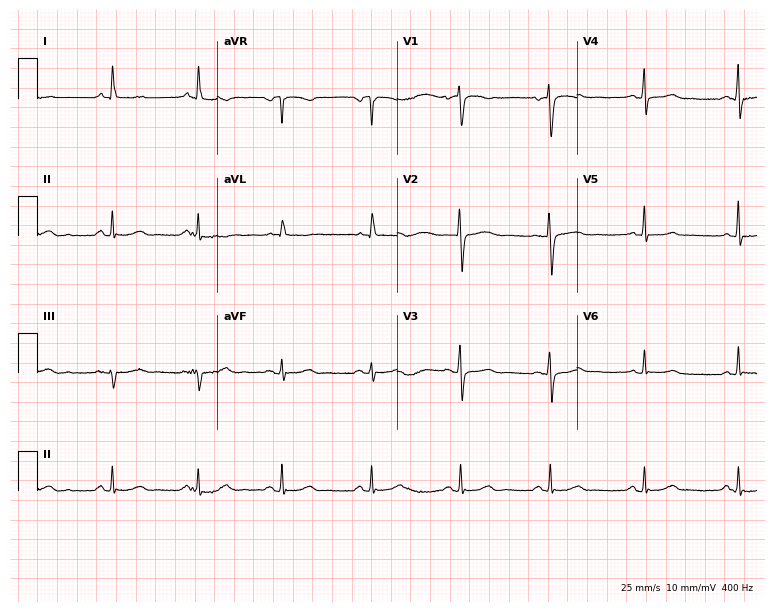
12-lead ECG from a 62-year-old woman (7.3-second recording at 400 Hz). No first-degree AV block, right bundle branch block, left bundle branch block, sinus bradycardia, atrial fibrillation or sinus tachycardia recorded for this tracing.